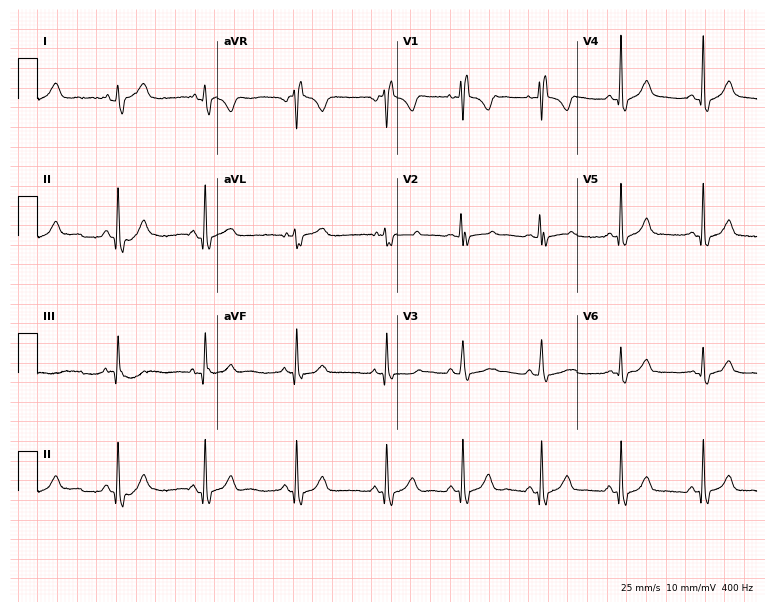
Resting 12-lead electrocardiogram (7.3-second recording at 400 Hz). Patient: a female, 28 years old. None of these six findings is recorded: first-degree AV block, right bundle branch block, left bundle branch block, sinus bradycardia, atrial fibrillation, sinus tachycardia. Other findings, if any, are not listed.